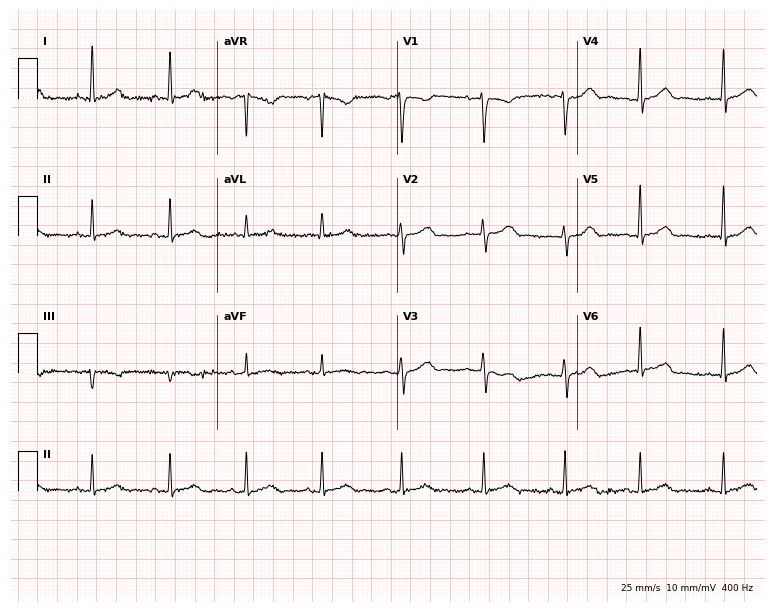
12-lead ECG from a 38-year-old female. Screened for six findings — first-degree AV block, right bundle branch block, left bundle branch block, sinus bradycardia, atrial fibrillation, sinus tachycardia — none is recorded. Only these six findings were labelled.